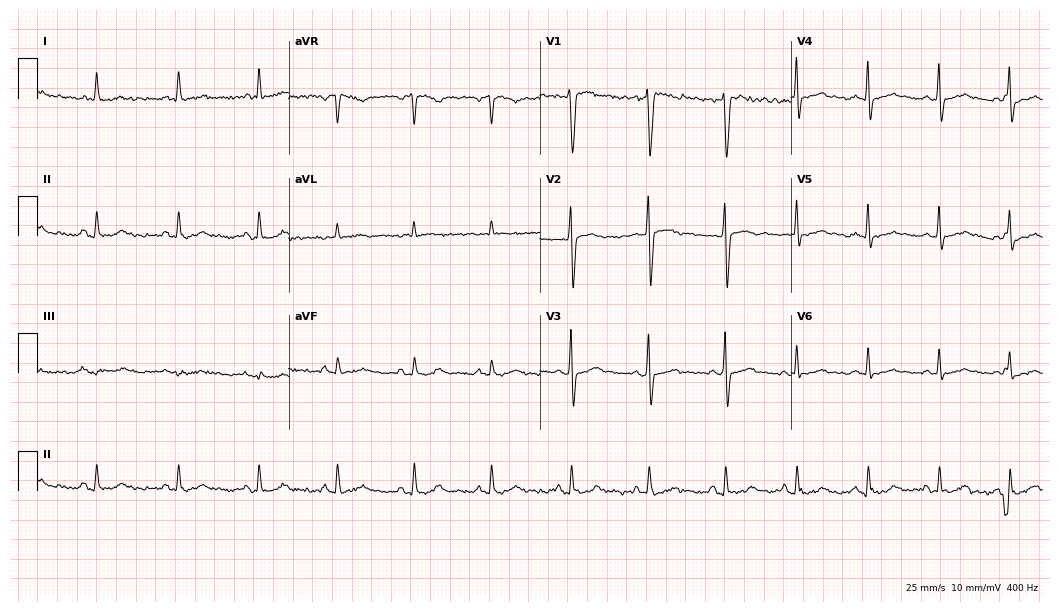
ECG (10.2-second recording at 400 Hz) — a male patient, 42 years old. Screened for six findings — first-degree AV block, right bundle branch block, left bundle branch block, sinus bradycardia, atrial fibrillation, sinus tachycardia — none is recorded. Other findings, if any, are not listed.